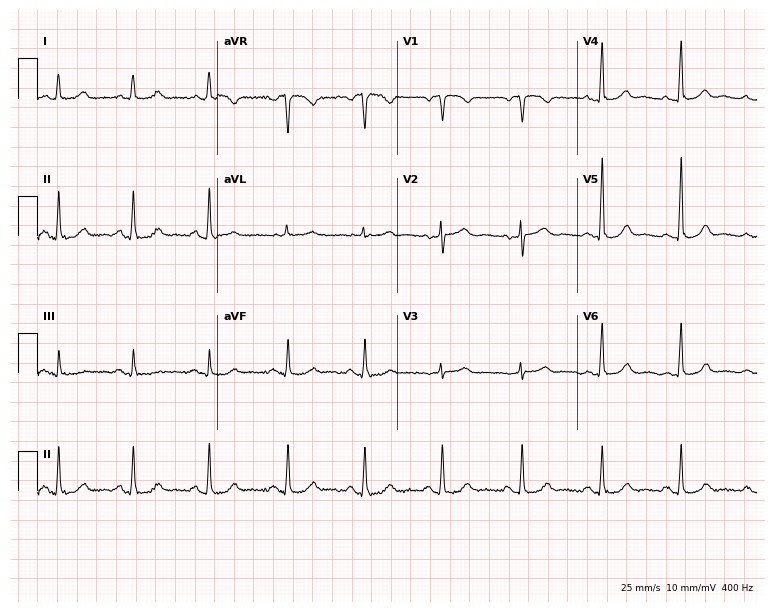
12-lead ECG from a female patient, 69 years old. Labelled as a normal ECG.